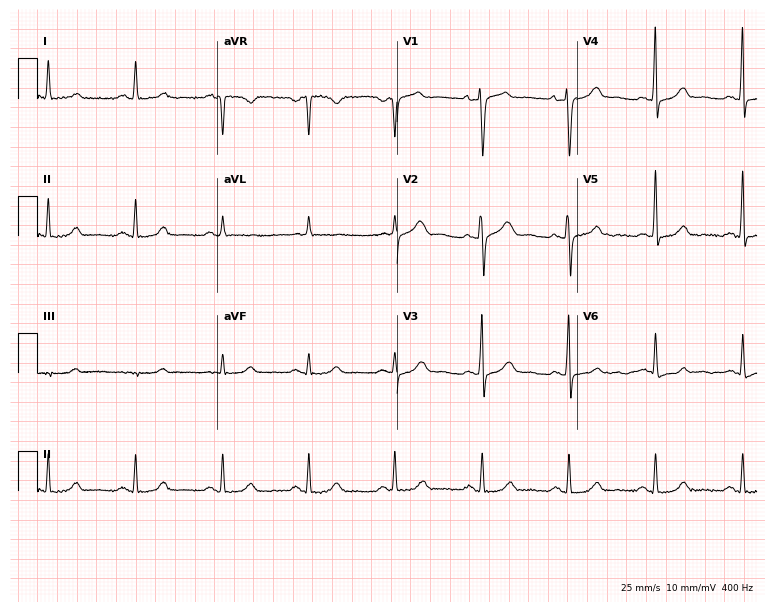
Standard 12-lead ECG recorded from a 48-year-old female. Read as a normal ECG.